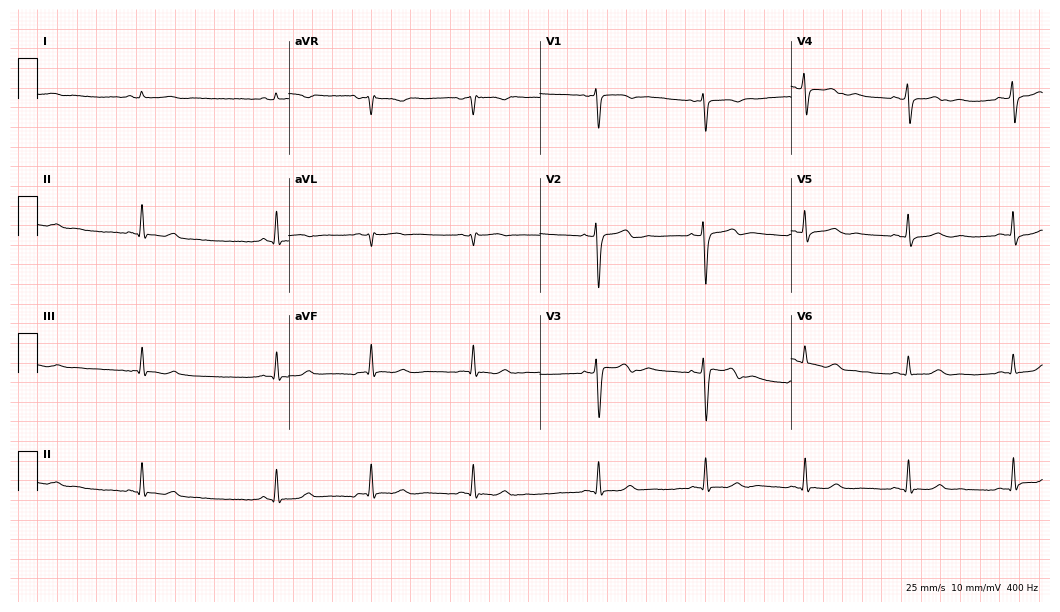
12-lead ECG (10.2-second recording at 400 Hz) from a female patient, 43 years old. Screened for six findings — first-degree AV block, right bundle branch block, left bundle branch block, sinus bradycardia, atrial fibrillation, sinus tachycardia — none is recorded. Findings outside these six are not listed.